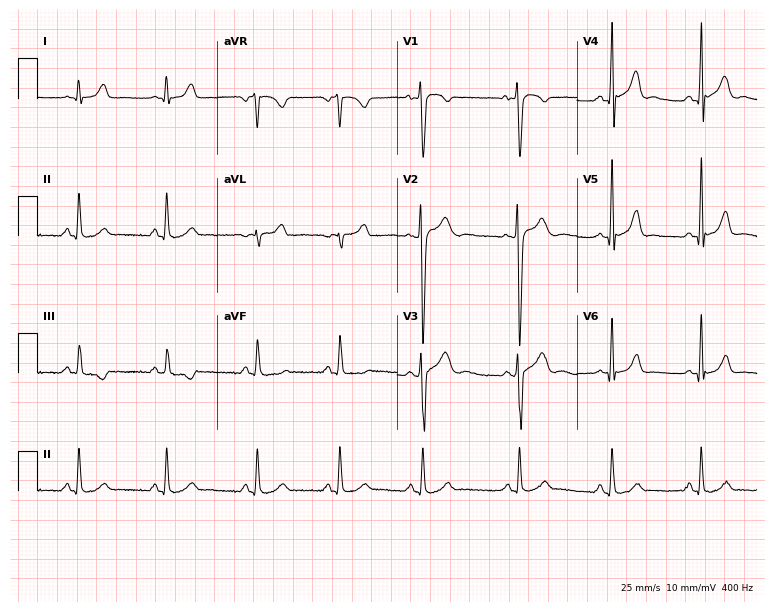
ECG (7.3-second recording at 400 Hz) — a man, 19 years old. Labelled as a normal ECG.